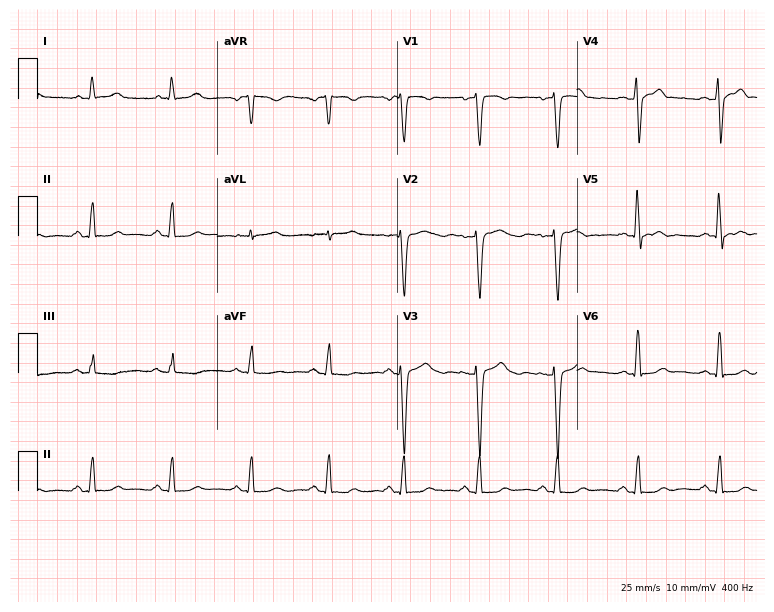
Resting 12-lead electrocardiogram. Patient: a woman, 46 years old. Read as a normal ECG.